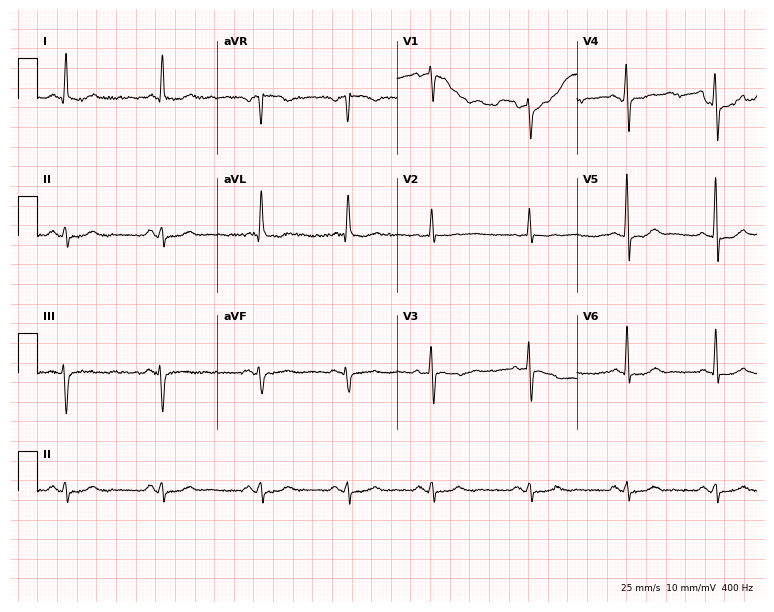
Electrocardiogram (7.3-second recording at 400 Hz), a female, 65 years old. Of the six screened findings (first-degree AV block, right bundle branch block, left bundle branch block, sinus bradycardia, atrial fibrillation, sinus tachycardia), none is recorded. Findings outside these six are not listed.